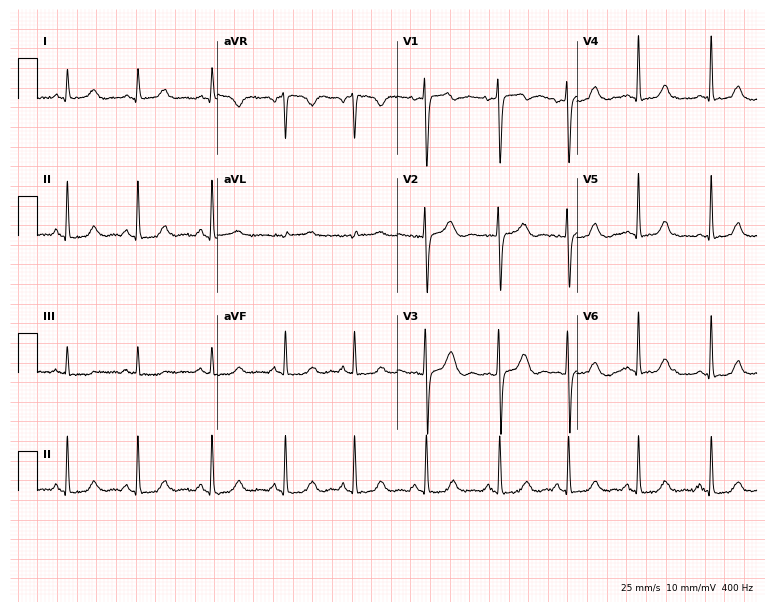
Resting 12-lead electrocardiogram. Patient: a female, 33 years old. Read as a normal ECG.